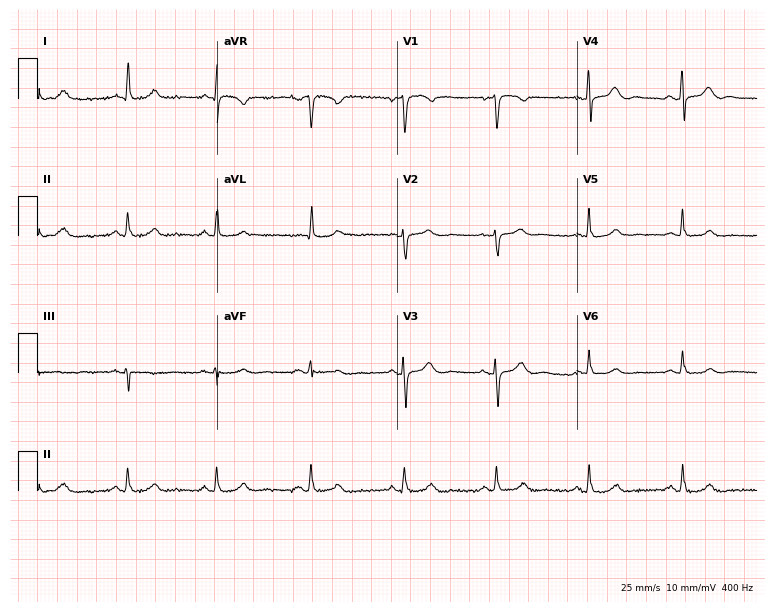
12-lead ECG from a 50-year-old female. Labelled as a normal ECG.